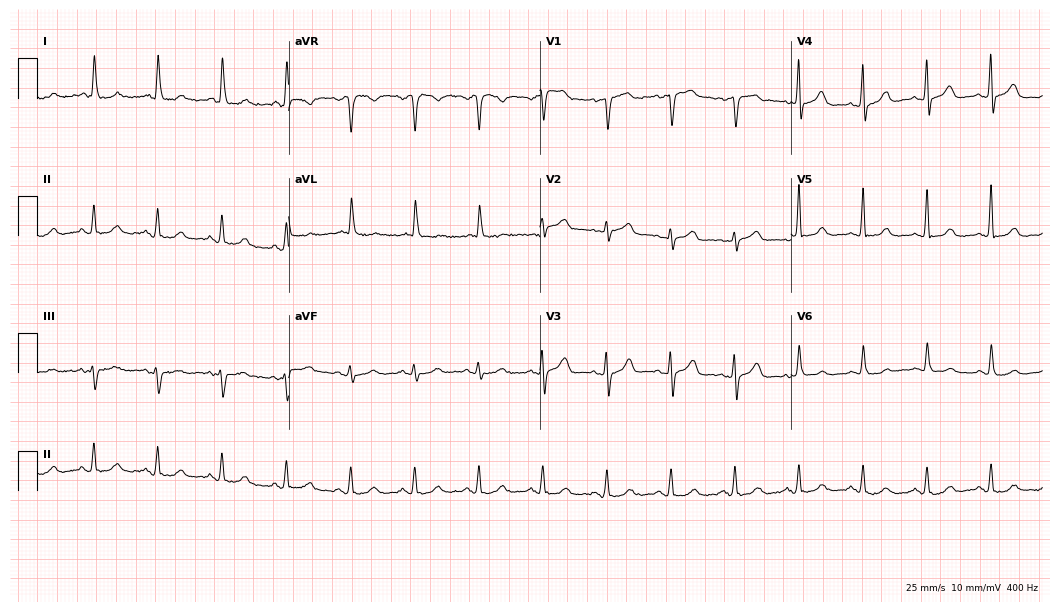
ECG — a female, 77 years old. Labelled as a normal ECG.